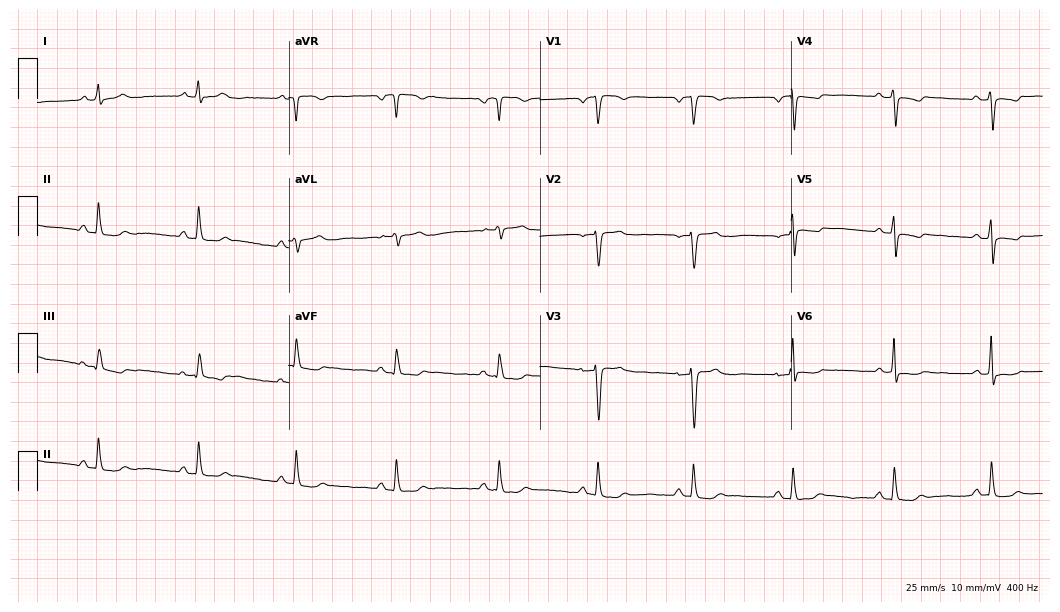
12-lead ECG from a 58-year-old woman. No first-degree AV block, right bundle branch block, left bundle branch block, sinus bradycardia, atrial fibrillation or sinus tachycardia recorded for this tracing. Findings outside these six are not listed.